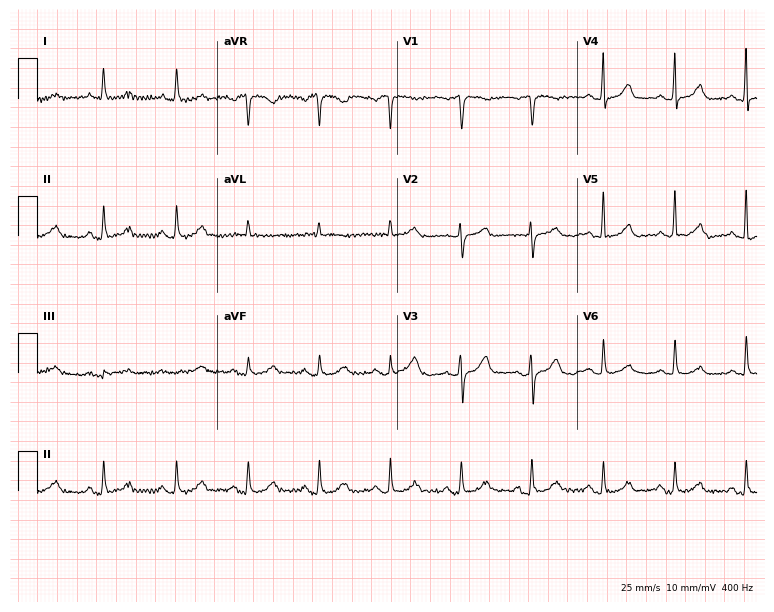
12-lead ECG from a 78-year-old female patient. Recorded interpretation: within normal limits.